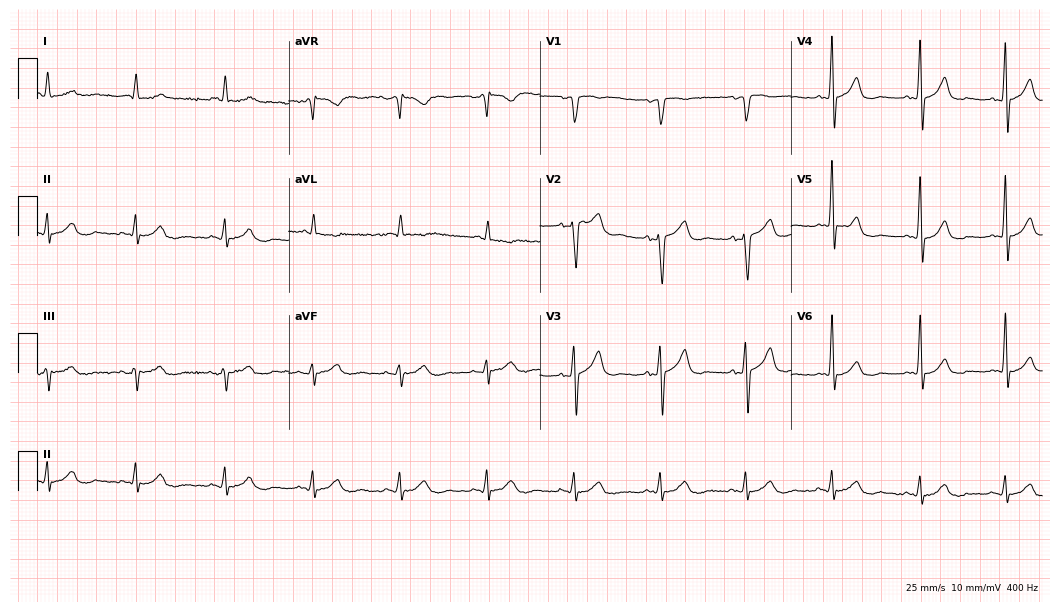
Resting 12-lead electrocardiogram. Patient: a 62-year-old male. Read as a normal ECG.